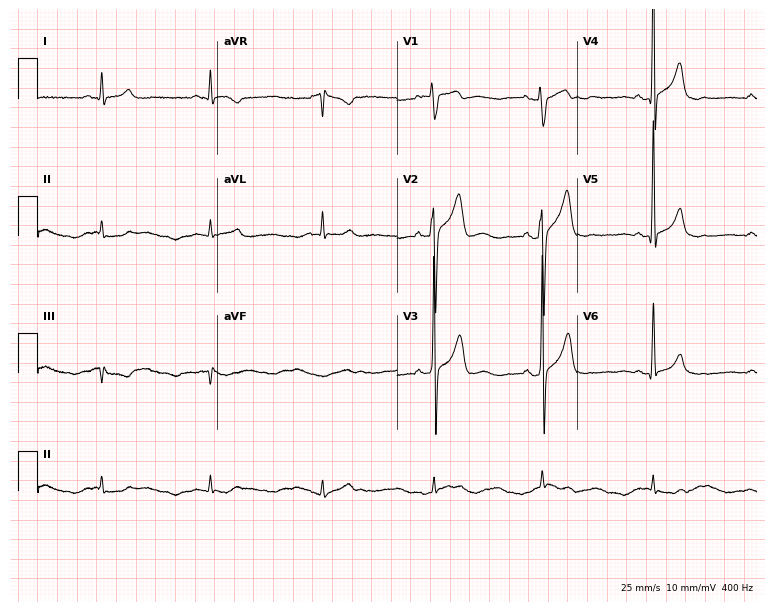
Resting 12-lead electrocardiogram (7.3-second recording at 400 Hz). Patient: a 41-year-old male. None of these six findings is recorded: first-degree AV block, right bundle branch block, left bundle branch block, sinus bradycardia, atrial fibrillation, sinus tachycardia.